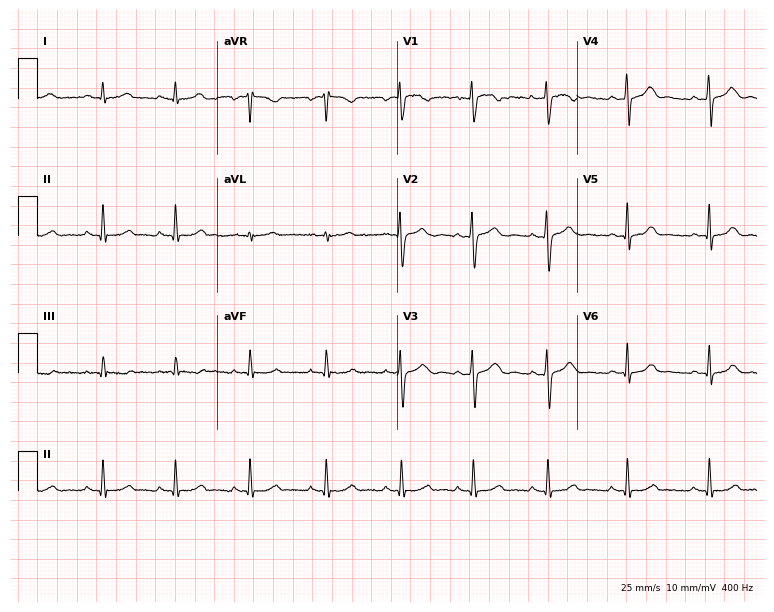
ECG (7.3-second recording at 400 Hz) — a woman, 31 years old. Screened for six findings — first-degree AV block, right bundle branch block (RBBB), left bundle branch block (LBBB), sinus bradycardia, atrial fibrillation (AF), sinus tachycardia — none is recorded. Only these six findings were labelled.